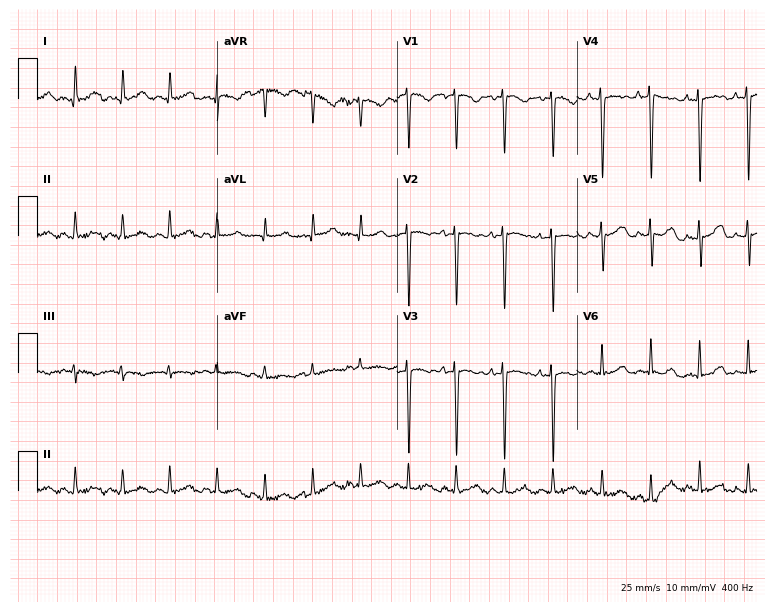
12-lead ECG (7.3-second recording at 400 Hz) from a 26-year-old woman. Screened for six findings — first-degree AV block, right bundle branch block, left bundle branch block, sinus bradycardia, atrial fibrillation, sinus tachycardia — none is recorded.